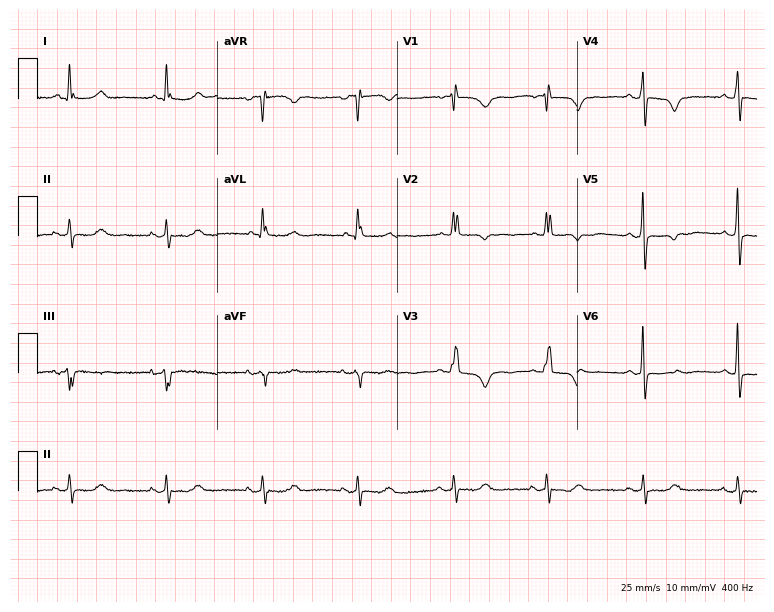
Electrocardiogram (7.3-second recording at 400 Hz), a female patient, 72 years old. Of the six screened findings (first-degree AV block, right bundle branch block, left bundle branch block, sinus bradycardia, atrial fibrillation, sinus tachycardia), none is recorded.